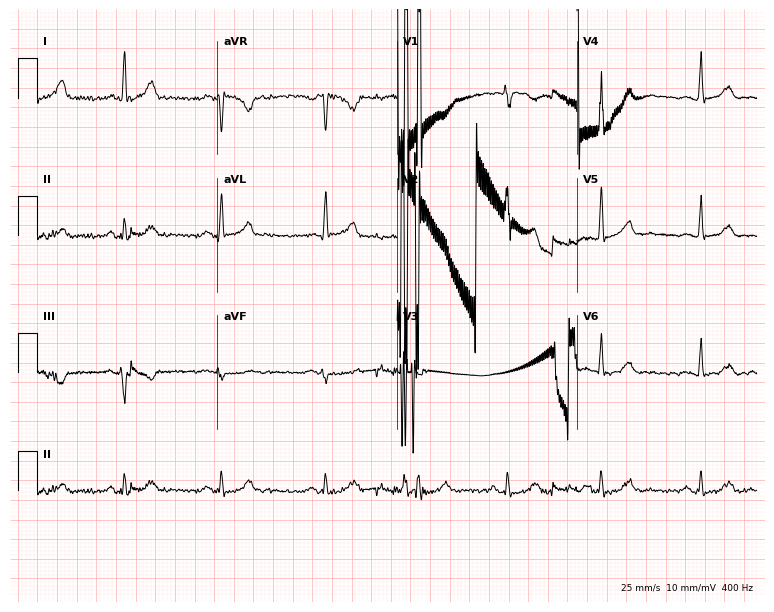
ECG (7.3-second recording at 400 Hz) — a man, 43 years old. Screened for six findings — first-degree AV block, right bundle branch block, left bundle branch block, sinus bradycardia, atrial fibrillation, sinus tachycardia — none is recorded.